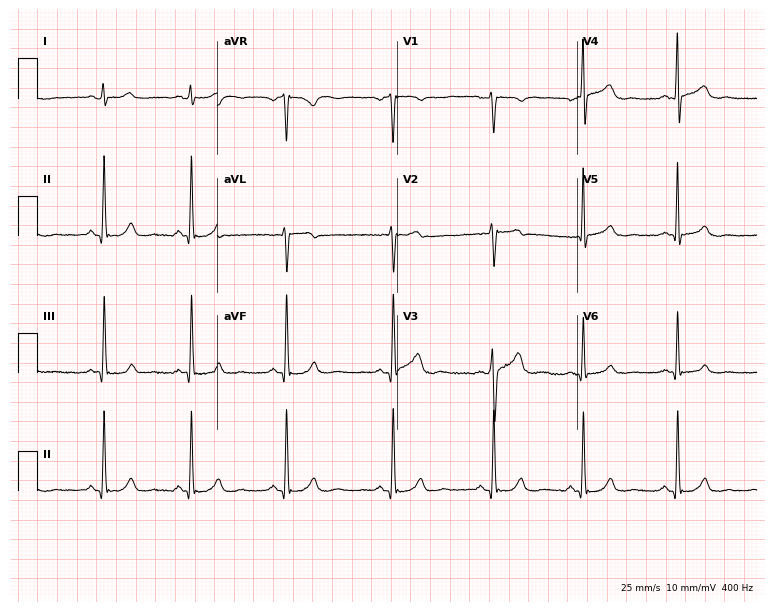
Resting 12-lead electrocardiogram. Patient: a male, 30 years old. Read as a normal ECG.